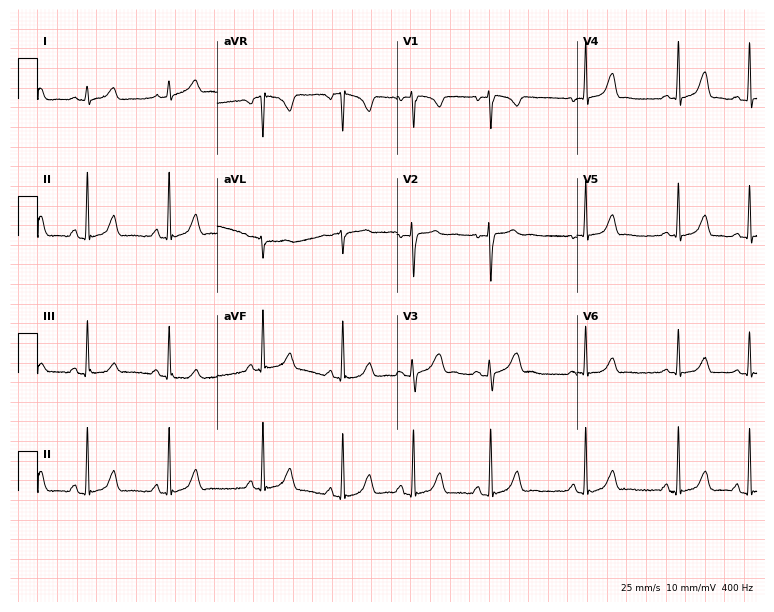
Electrocardiogram, a female patient, 23 years old. Overall reading on record: normal ECG.